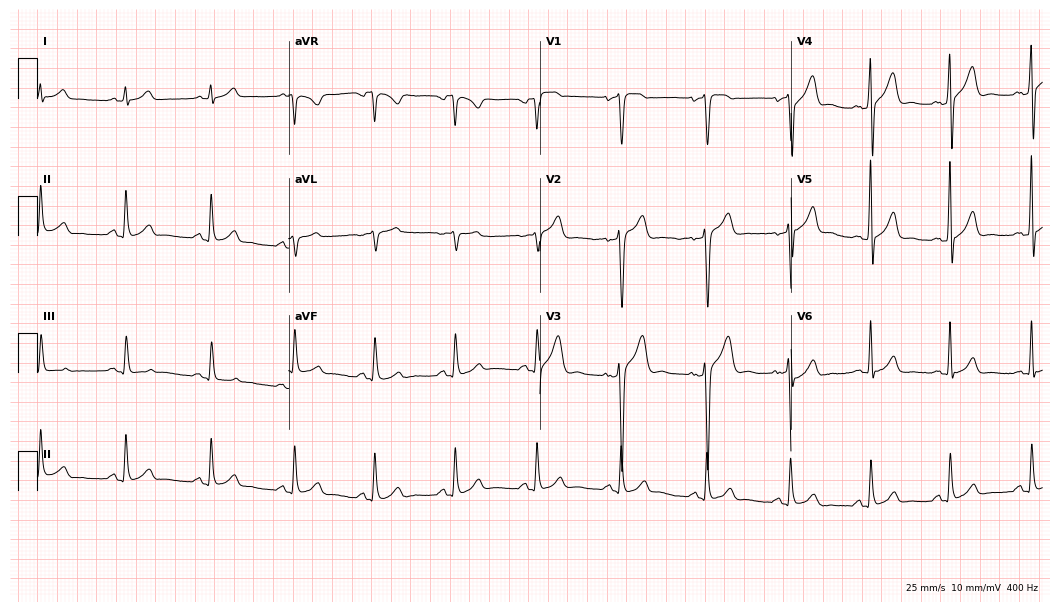
ECG — a 49-year-old man. Labelled as a normal ECG.